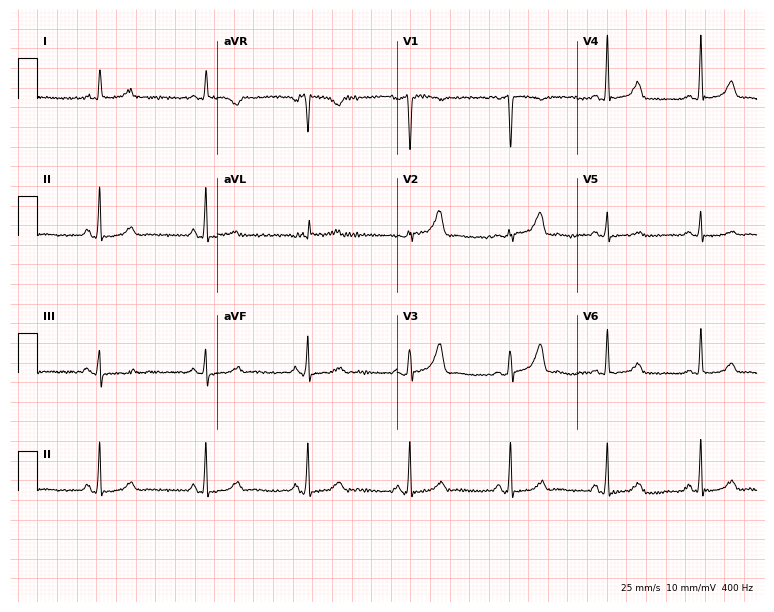
12-lead ECG from a female patient, 49 years old. Labelled as a normal ECG.